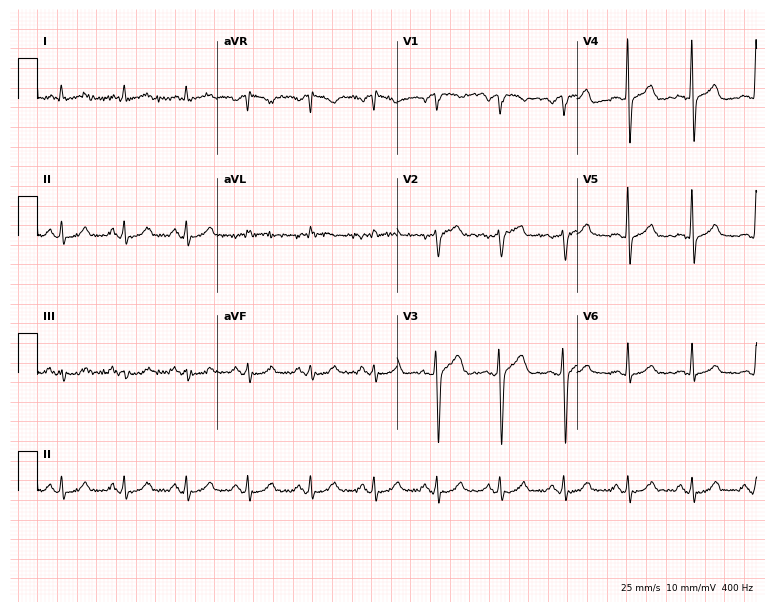
12-lead ECG from a 60-year-old man. No first-degree AV block, right bundle branch block (RBBB), left bundle branch block (LBBB), sinus bradycardia, atrial fibrillation (AF) or sinus tachycardia recorded for this tracing. Other findings, if any, are not listed.